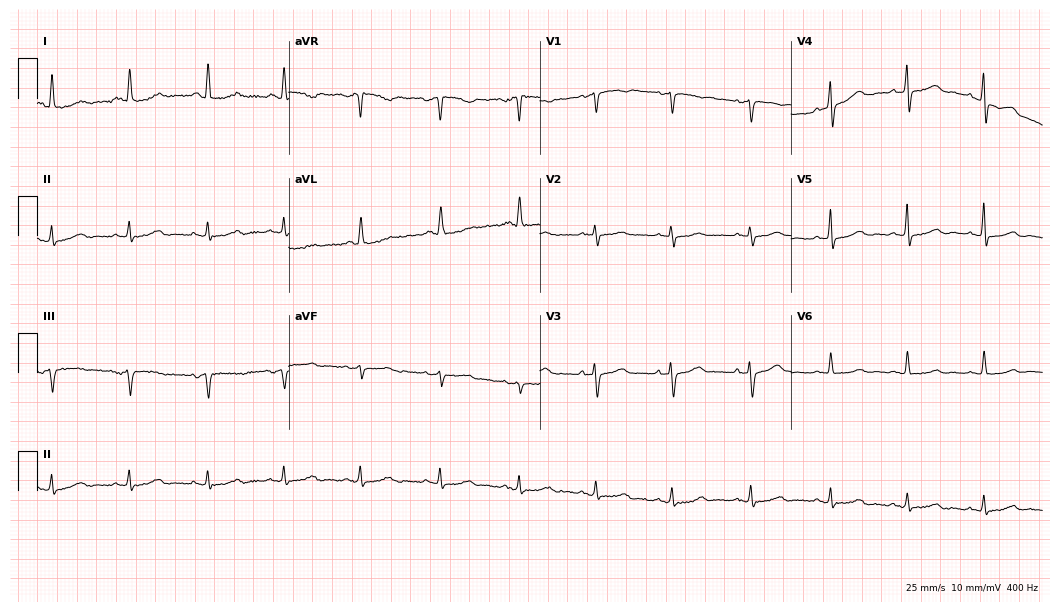
Electrocardiogram (10.2-second recording at 400 Hz), a female patient, 56 years old. Overall reading on record: normal ECG.